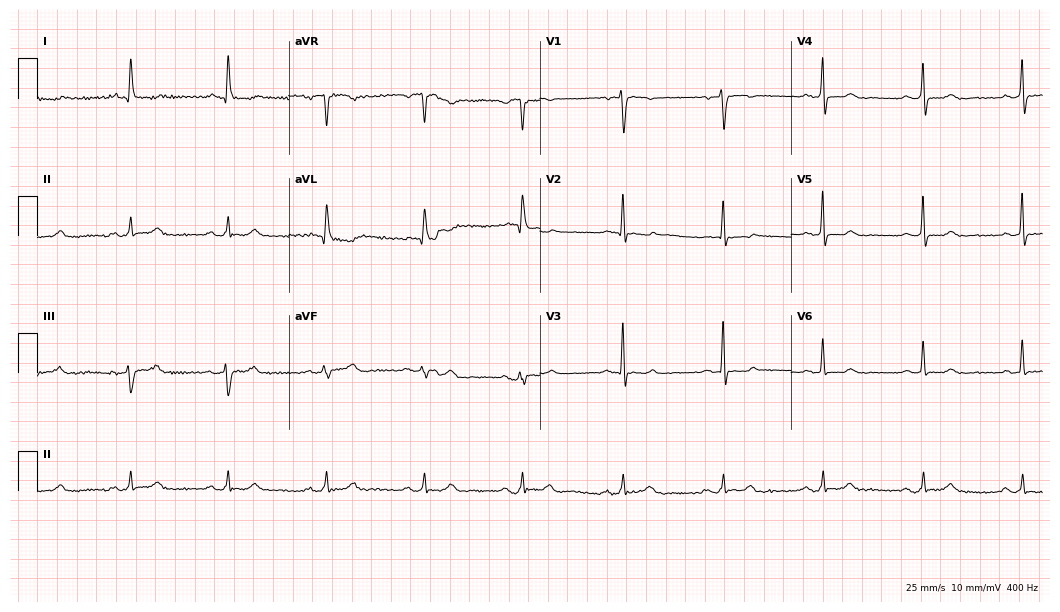
Resting 12-lead electrocardiogram (10.2-second recording at 400 Hz). Patient: a woman, 71 years old. None of these six findings is recorded: first-degree AV block, right bundle branch block, left bundle branch block, sinus bradycardia, atrial fibrillation, sinus tachycardia.